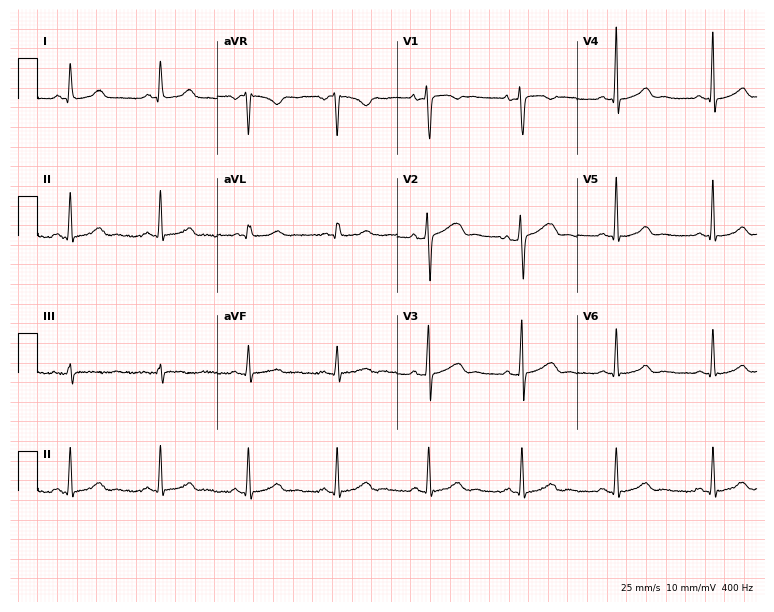
Resting 12-lead electrocardiogram (7.3-second recording at 400 Hz). Patient: a 43-year-old woman. Read as a normal ECG.